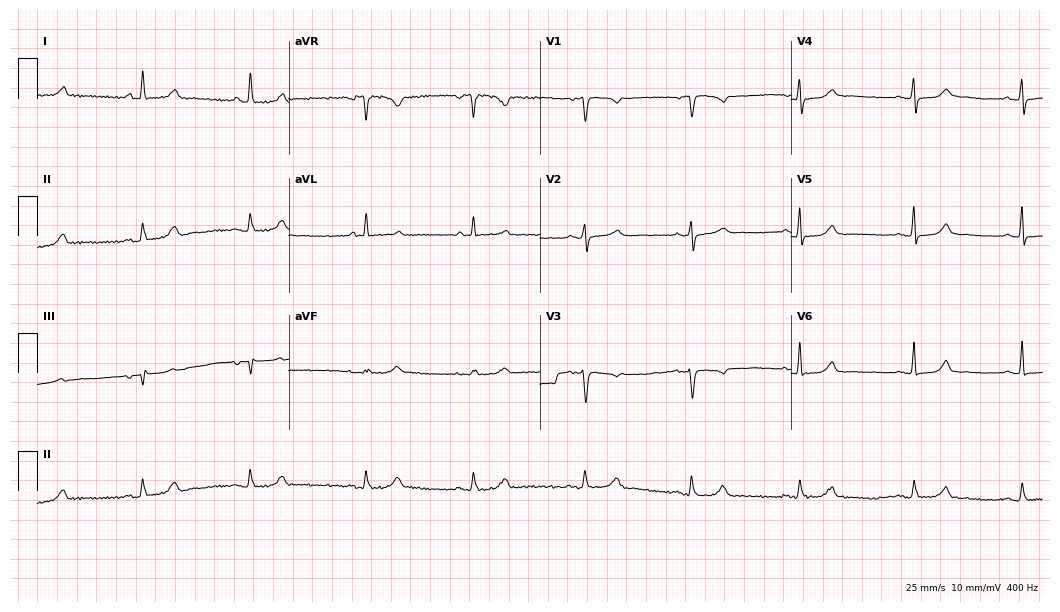
ECG (10.2-second recording at 400 Hz) — a female, 67 years old. Labelled as a normal ECG.